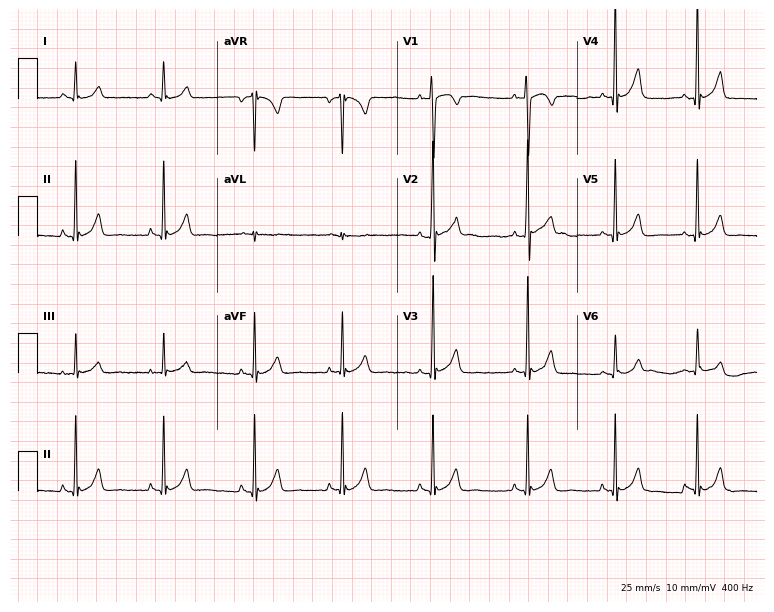
12-lead ECG (7.3-second recording at 400 Hz) from a man, 20 years old. Screened for six findings — first-degree AV block, right bundle branch block (RBBB), left bundle branch block (LBBB), sinus bradycardia, atrial fibrillation (AF), sinus tachycardia — none is recorded. Findings outside these six are not listed.